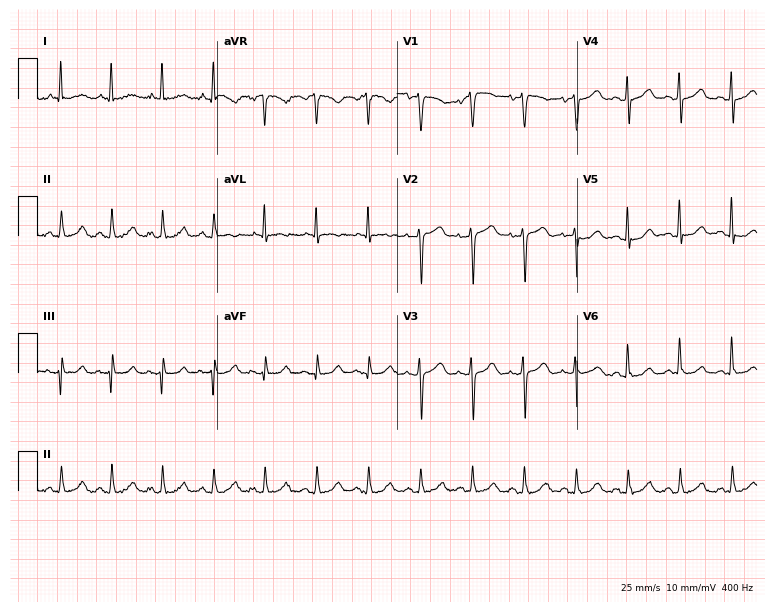
ECG — a 55-year-old female patient. Findings include sinus tachycardia (a sinus rate of 100 beats per minute or more).